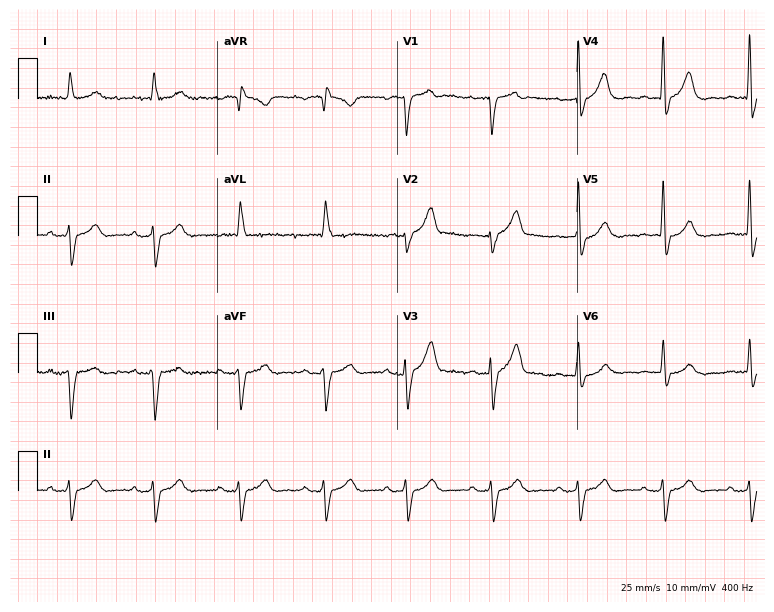
ECG (7.3-second recording at 400 Hz) — a 79-year-old man. Screened for six findings — first-degree AV block, right bundle branch block, left bundle branch block, sinus bradycardia, atrial fibrillation, sinus tachycardia — none is recorded.